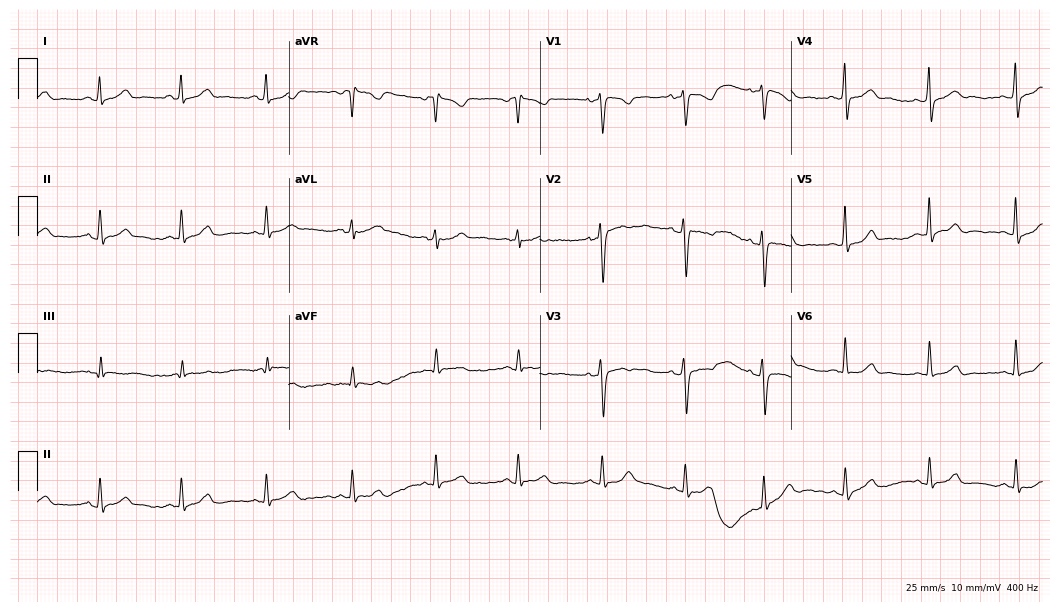
Electrocardiogram (10.2-second recording at 400 Hz), a female, 29 years old. Overall reading on record: normal ECG.